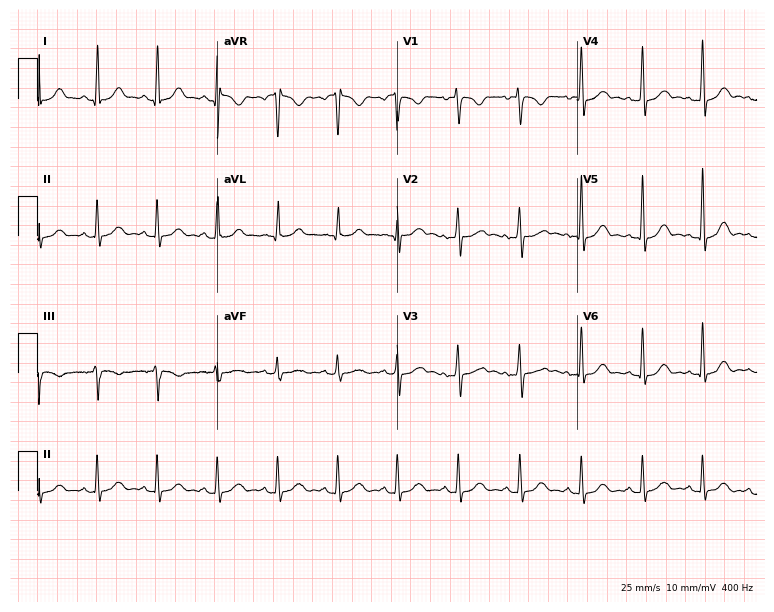
Electrocardiogram (7.3-second recording at 400 Hz), a woman, 28 years old. Overall reading on record: normal ECG.